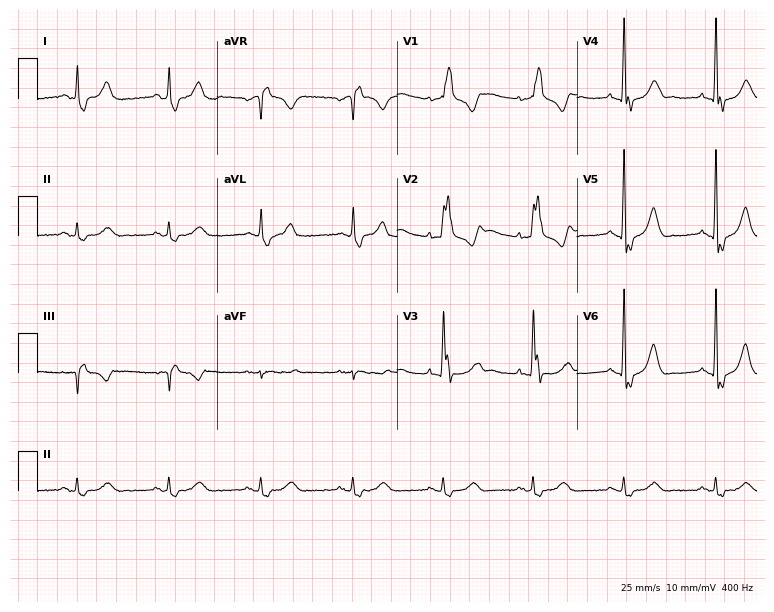
Standard 12-lead ECG recorded from a man, 73 years old. The tracing shows right bundle branch block.